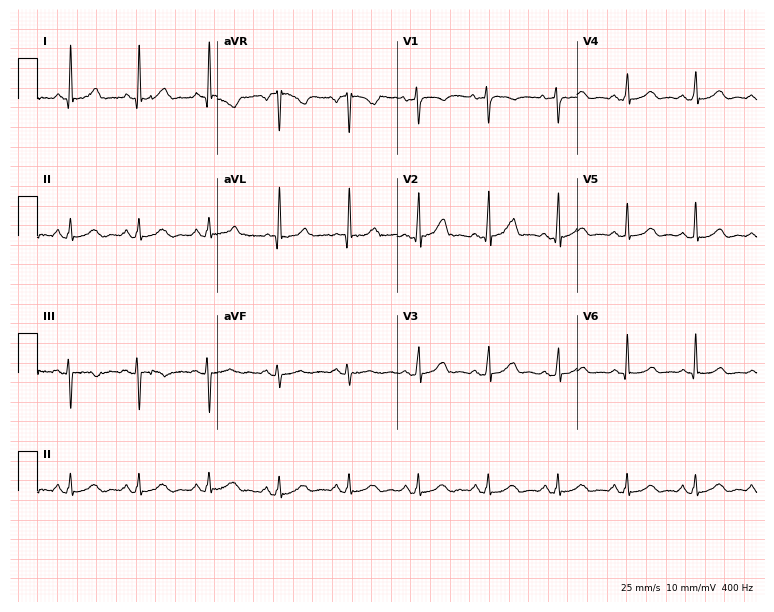
ECG (7.3-second recording at 400 Hz) — a female, 72 years old. Labelled as a normal ECG.